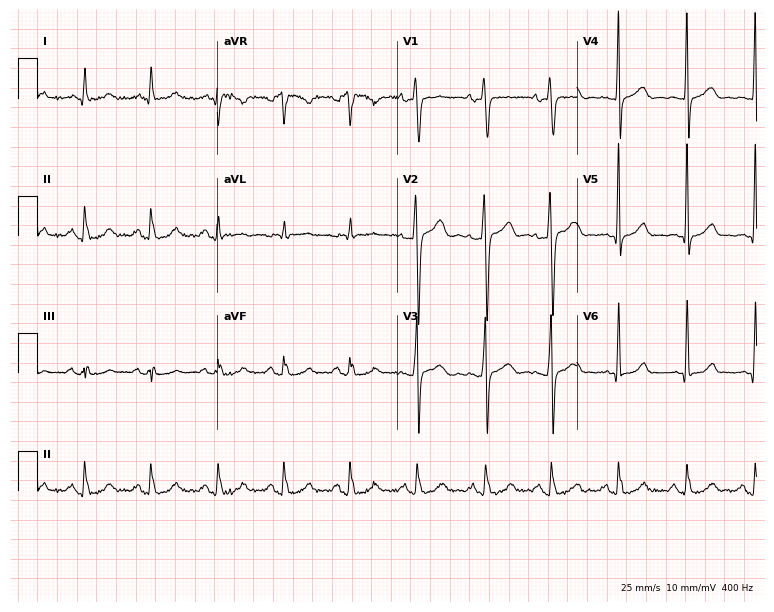
Electrocardiogram, a 47-year-old male patient. Of the six screened findings (first-degree AV block, right bundle branch block, left bundle branch block, sinus bradycardia, atrial fibrillation, sinus tachycardia), none is recorded. Other findings, if any, are not listed.